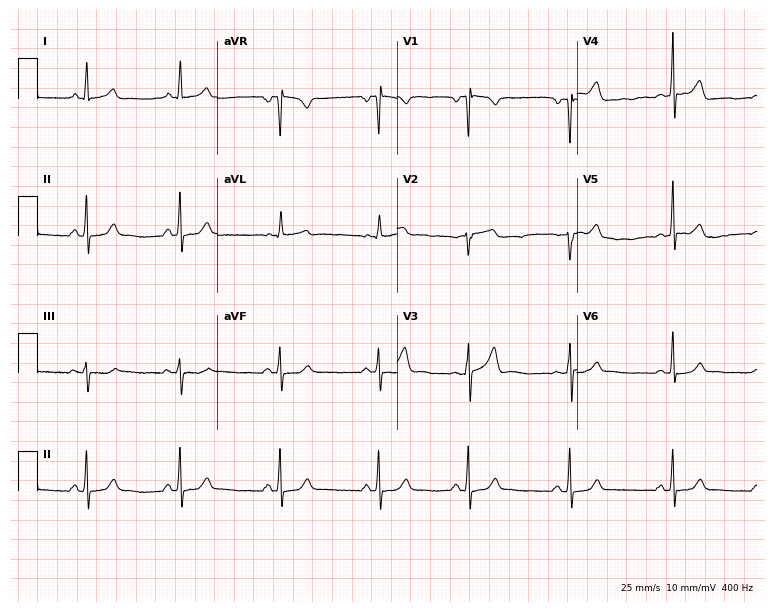
12-lead ECG from a 30-year-old woman (7.3-second recording at 400 Hz). No first-degree AV block, right bundle branch block (RBBB), left bundle branch block (LBBB), sinus bradycardia, atrial fibrillation (AF) or sinus tachycardia recorded for this tracing.